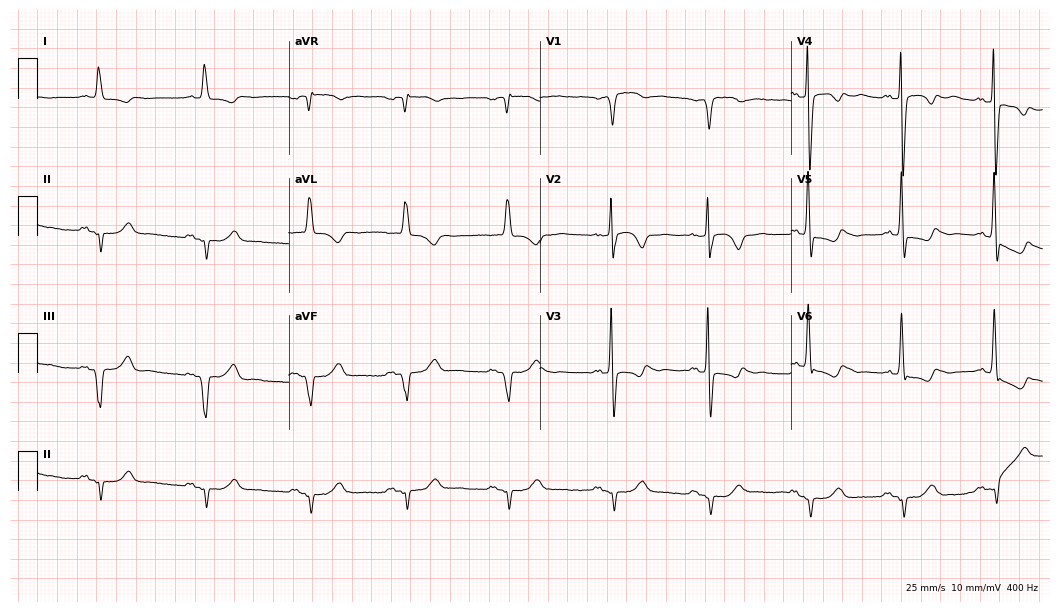
12-lead ECG from a 47-year-old male (10.2-second recording at 400 Hz). No first-degree AV block, right bundle branch block, left bundle branch block, sinus bradycardia, atrial fibrillation or sinus tachycardia recorded for this tracing.